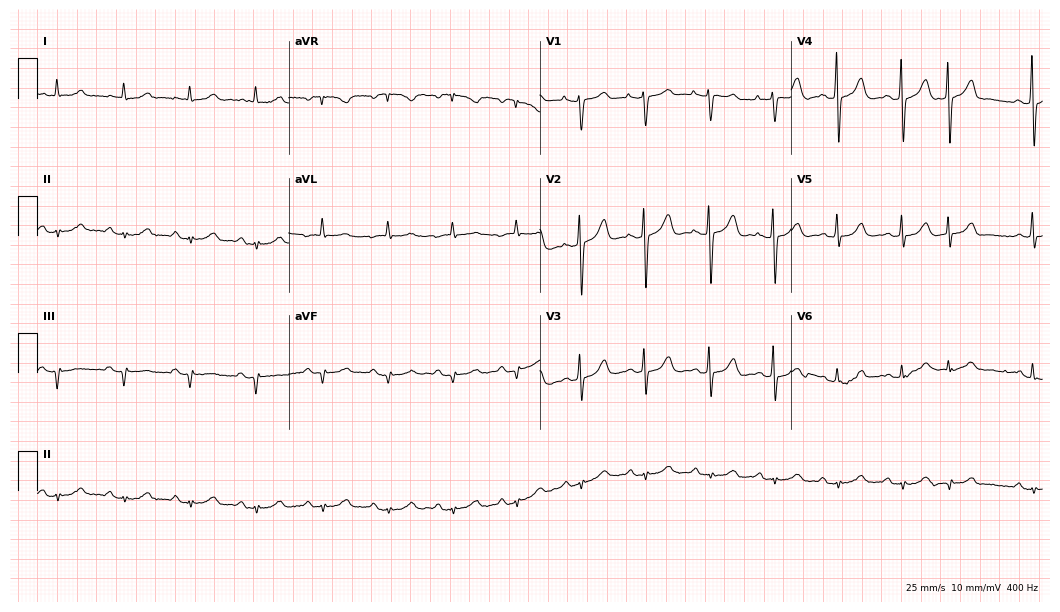
Electrocardiogram, a 71-year-old woman. Overall reading on record: normal ECG.